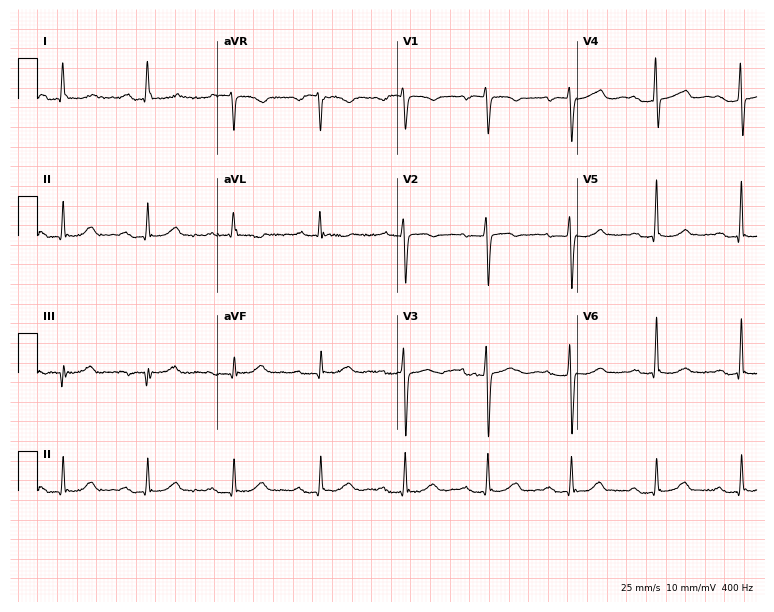
Electrocardiogram, a woman, 83 years old. Interpretation includes first-degree AV block.